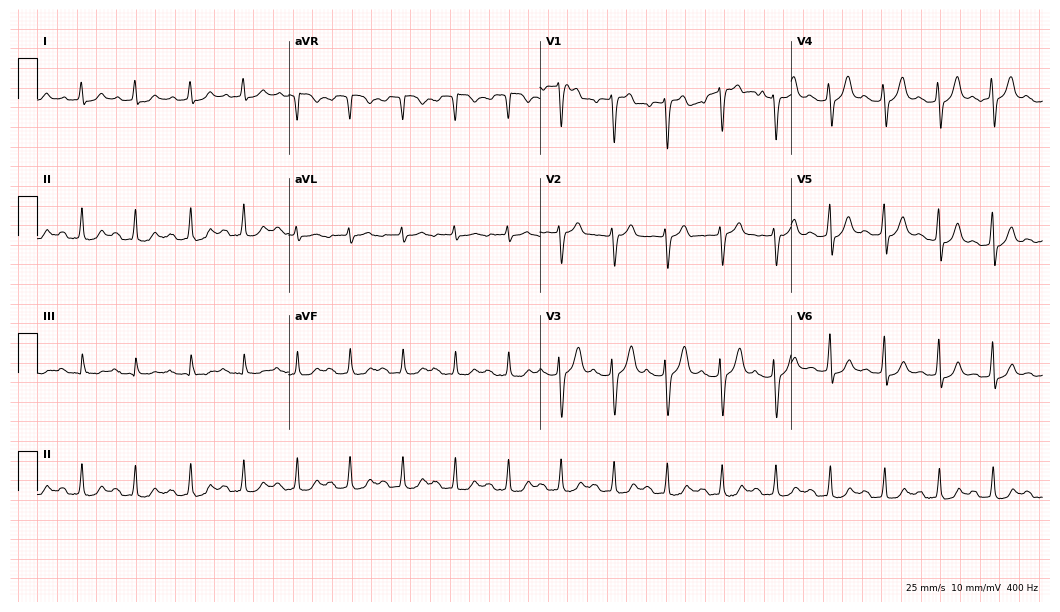
ECG (10.2-second recording at 400 Hz) — a female, 85 years old. Screened for six findings — first-degree AV block, right bundle branch block (RBBB), left bundle branch block (LBBB), sinus bradycardia, atrial fibrillation (AF), sinus tachycardia — none is recorded. Other findings, if any, are not listed.